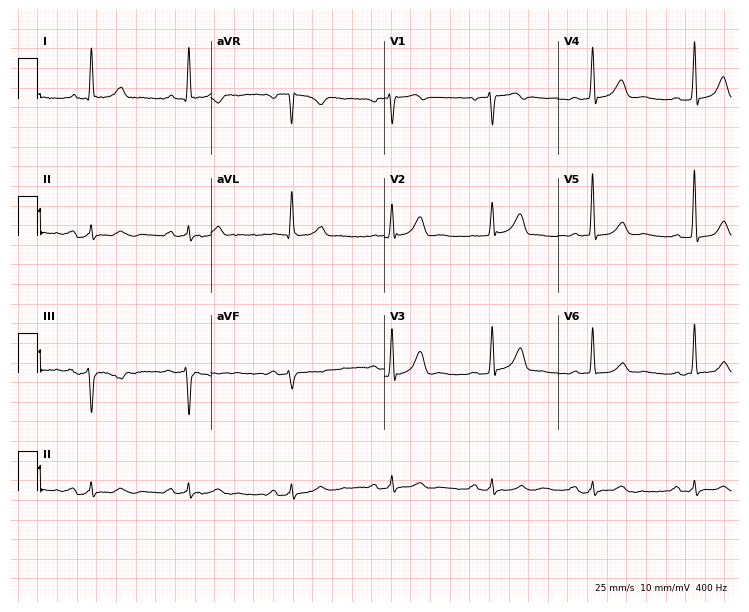
Electrocardiogram (7.1-second recording at 400 Hz), a female, 64 years old. Overall reading on record: normal ECG.